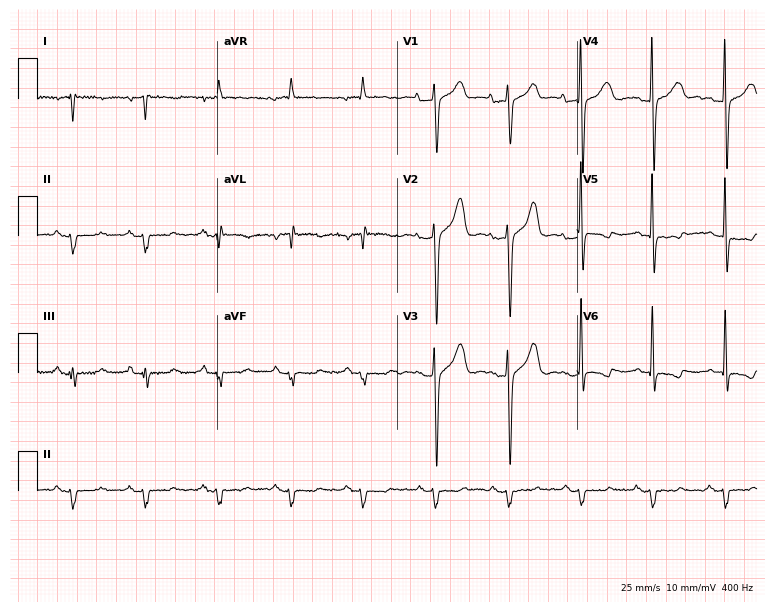
12-lead ECG (7.3-second recording at 400 Hz) from an 83-year-old female patient. Screened for six findings — first-degree AV block, right bundle branch block (RBBB), left bundle branch block (LBBB), sinus bradycardia, atrial fibrillation (AF), sinus tachycardia — none is recorded.